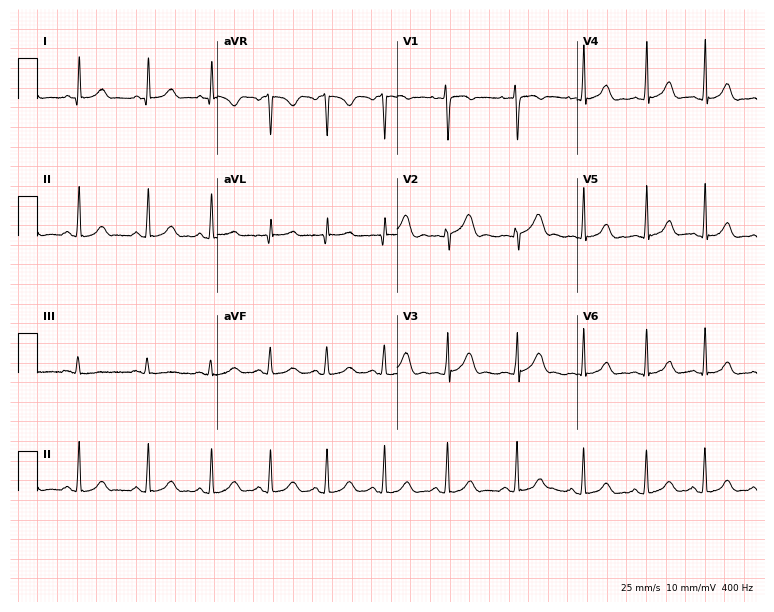
12-lead ECG from a female, 23 years old. No first-degree AV block, right bundle branch block (RBBB), left bundle branch block (LBBB), sinus bradycardia, atrial fibrillation (AF) or sinus tachycardia recorded for this tracing.